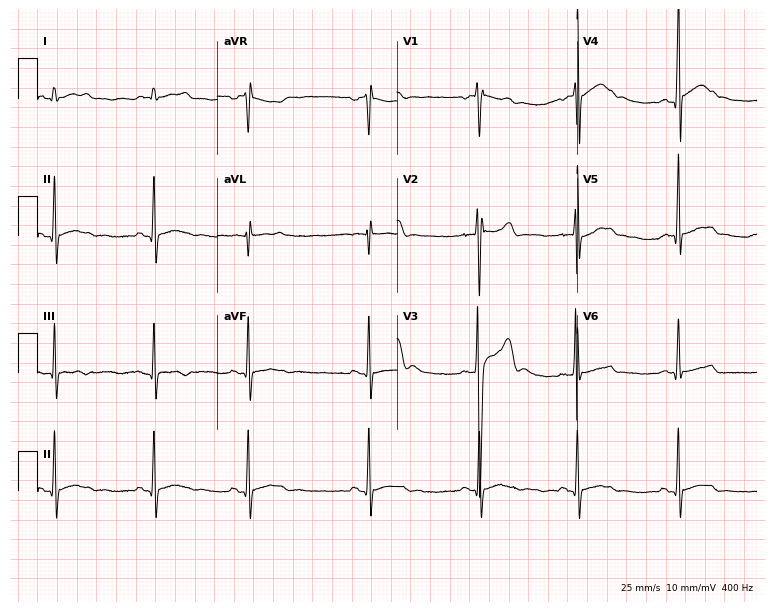
Resting 12-lead electrocardiogram. Patient: a man, 18 years old. None of these six findings is recorded: first-degree AV block, right bundle branch block, left bundle branch block, sinus bradycardia, atrial fibrillation, sinus tachycardia.